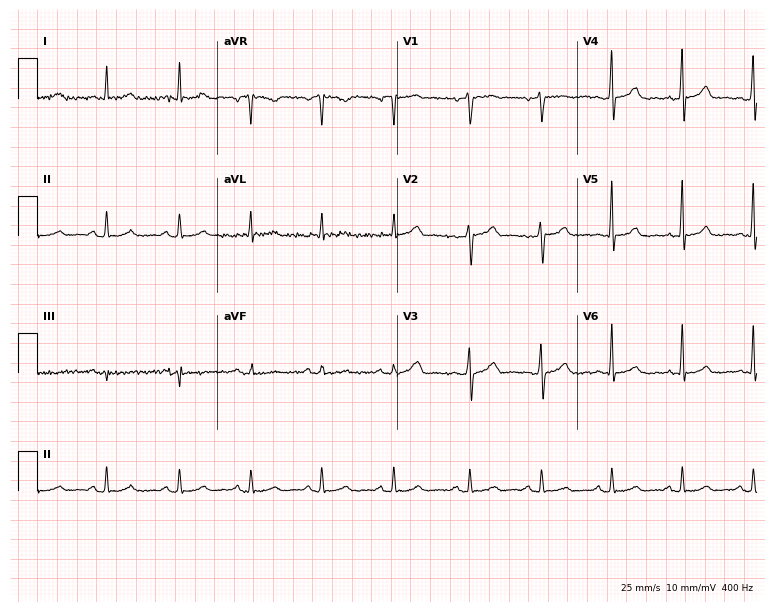
Standard 12-lead ECG recorded from a male patient, 60 years old (7.3-second recording at 400 Hz). Read as a normal ECG.